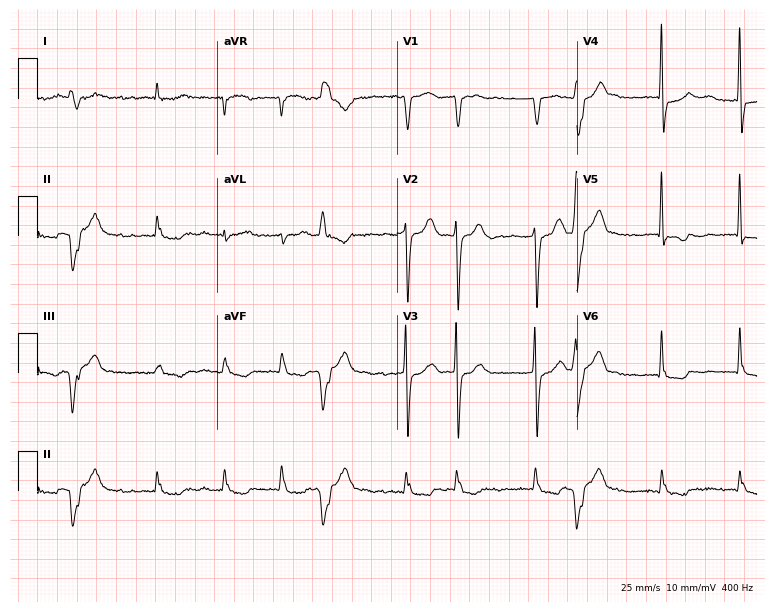
Electrocardiogram (7.3-second recording at 400 Hz), a man, 85 years old. Interpretation includes atrial fibrillation.